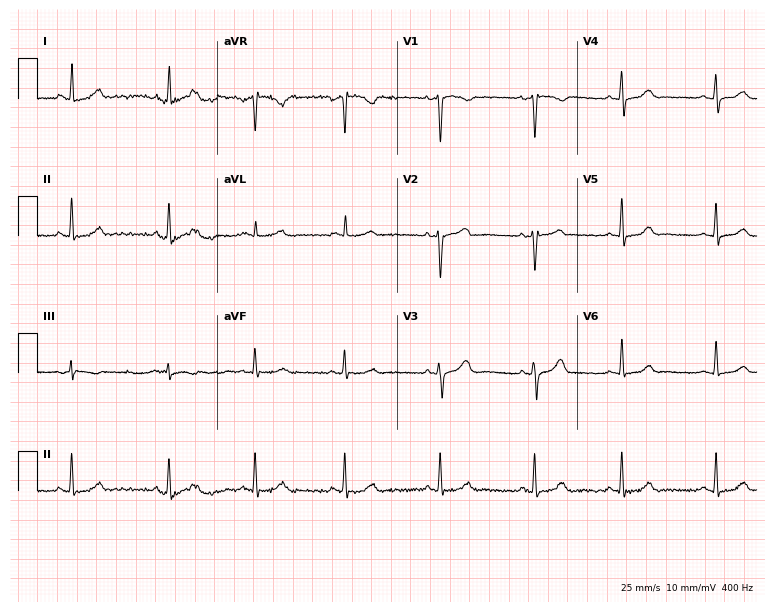
12-lead ECG from a 37-year-old woman (7.3-second recording at 400 Hz). Recorded interpretation: within normal limits.